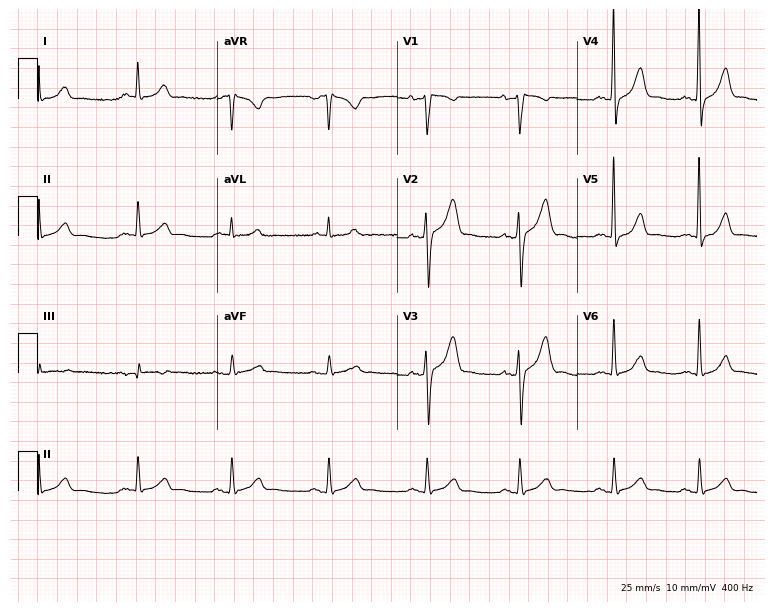
ECG (7.3-second recording at 400 Hz) — a male patient, 50 years old. Labelled as a normal ECG.